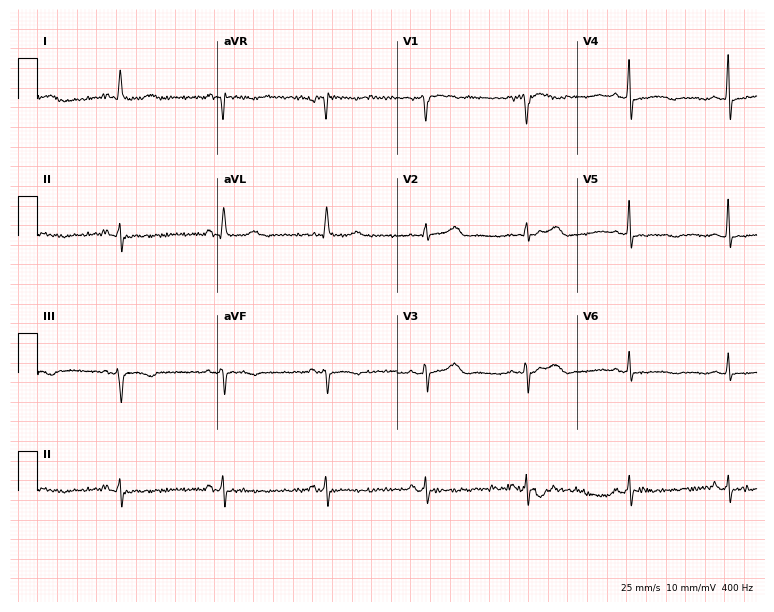
ECG (7.3-second recording at 400 Hz) — a 58-year-old woman. Screened for six findings — first-degree AV block, right bundle branch block (RBBB), left bundle branch block (LBBB), sinus bradycardia, atrial fibrillation (AF), sinus tachycardia — none is recorded. Only these six findings were labelled.